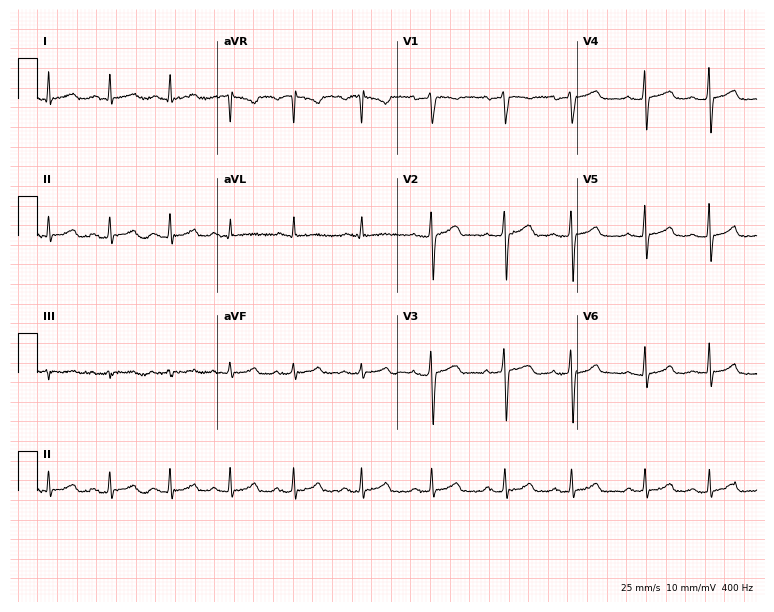
12-lead ECG from a 42-year-old female. Recorded interpretation: within normal limits.